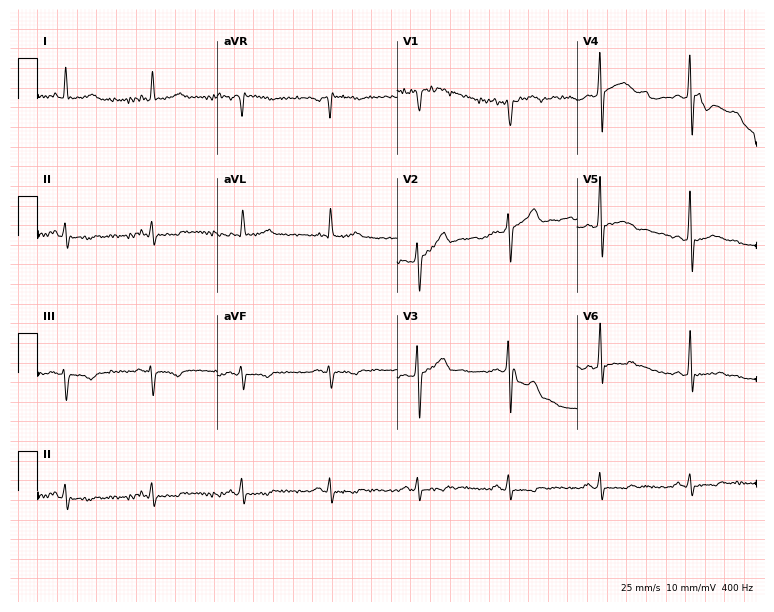
Resting 12-lead electrocardiogram (7.3-second recording at 400 Hz). Patient: a 53-year-old male. None of these six findings is recorded: first-degree AV block, right bundle branch block, left bundle branch block, sinus bradycardia, atrial fibrillation, sinus tachycardia.